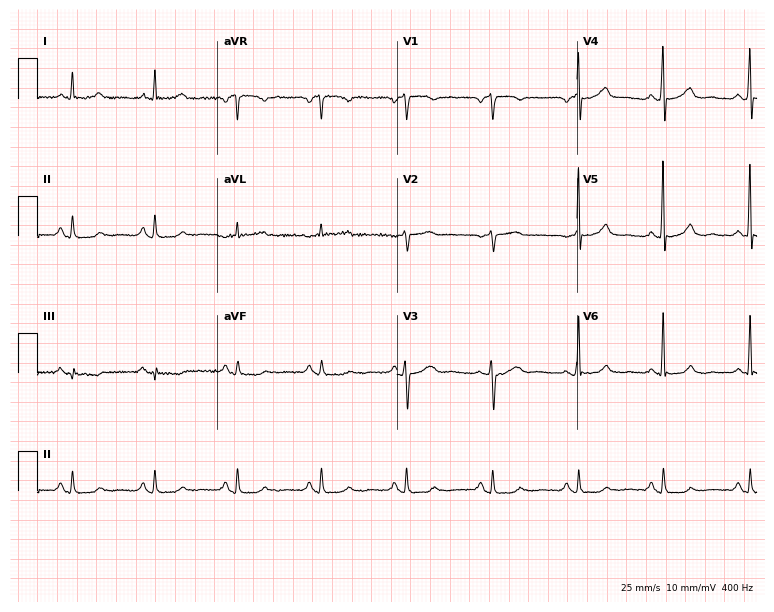
ECG (7.3-second recording at 400 Hz) — a 65-year-old female patient. Screened for six findings — first-degree AV block, right bundle branch block (RBBB), left bundle branch block (LBBB), sinus bradycardia, atrial fibrillation (AF), sinus tachycardia — none is recorded. Other findings, if any, are not listed.